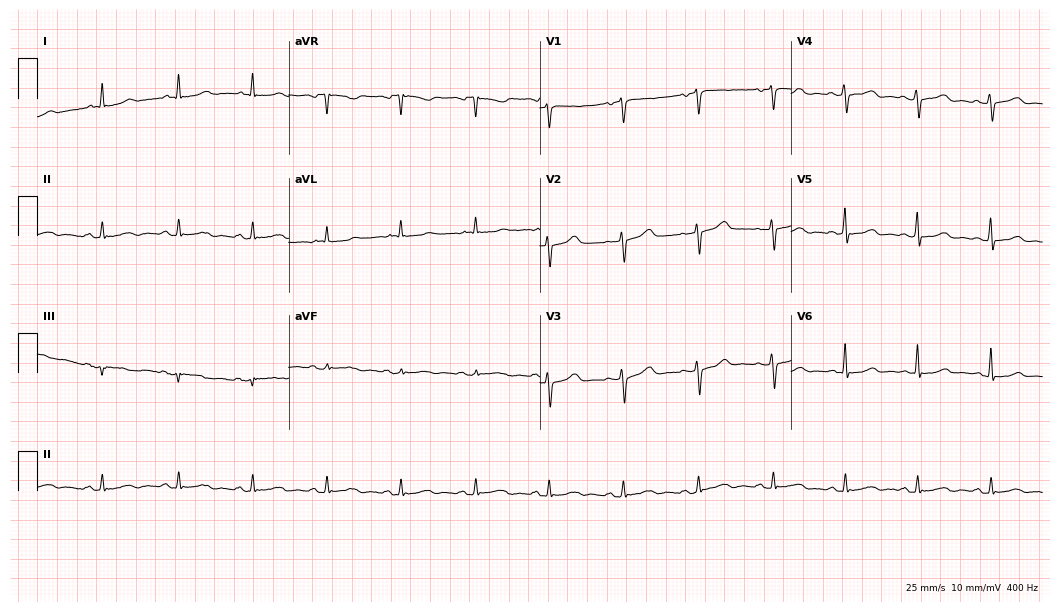
Resting 12-lead electrocardiogram. Patient: a 57-year-old woman. Read as a normal ECG.